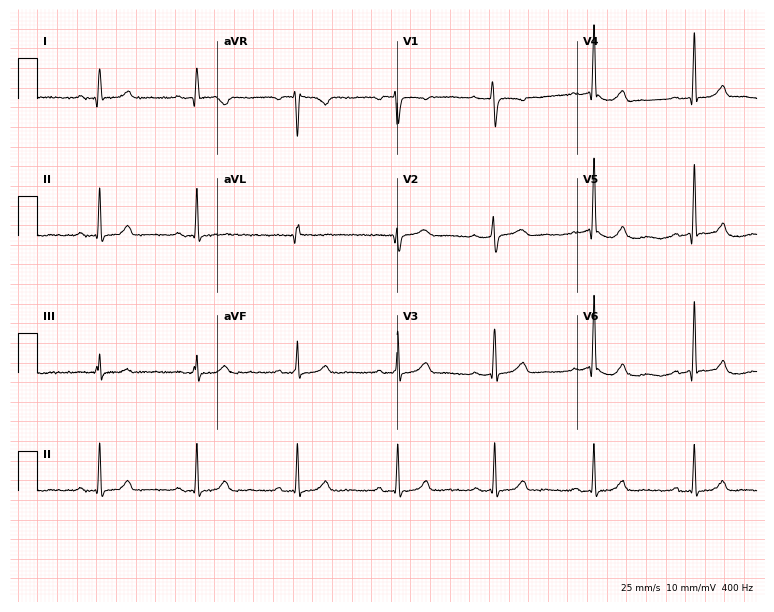
Resting 12-lead electrocardiogram (7.3-second recording at 400 Hz). Patient: a woman, 39 years old. Read as a normal ECG.